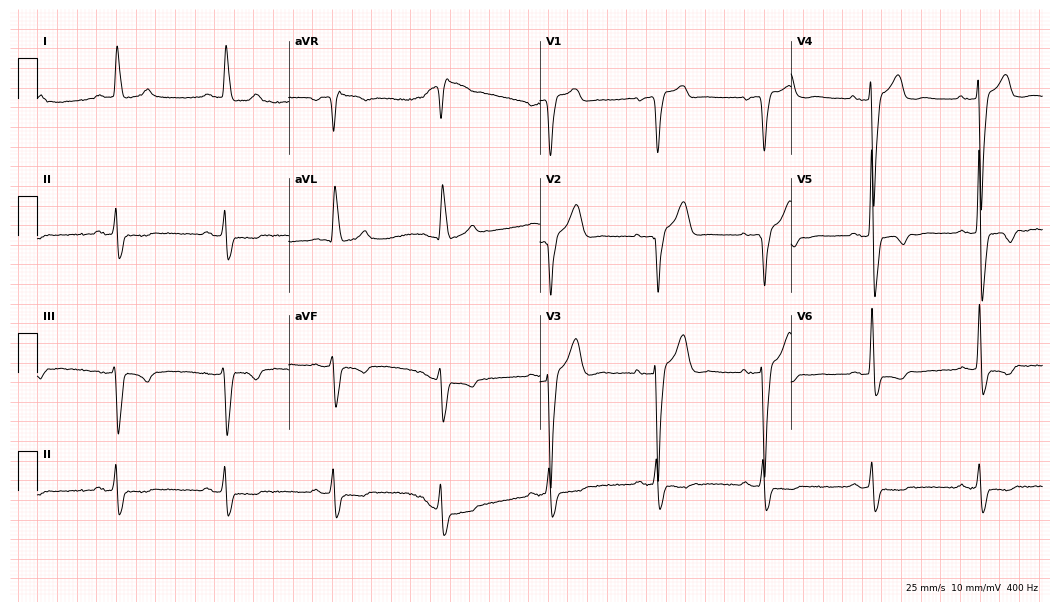
12-lead ECG (10.2-second recording at 400 Hz) from a male, 78 years old. Findings include left bundle branch block.